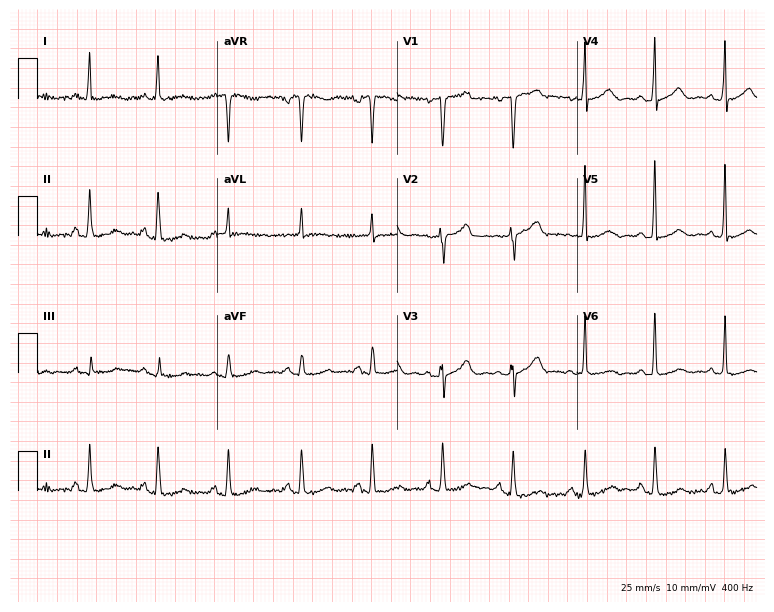
12-lead ECG from a 64-year-old woman (7.3-second recording at 400 Hz). Recorded interpretation: within normal limits.